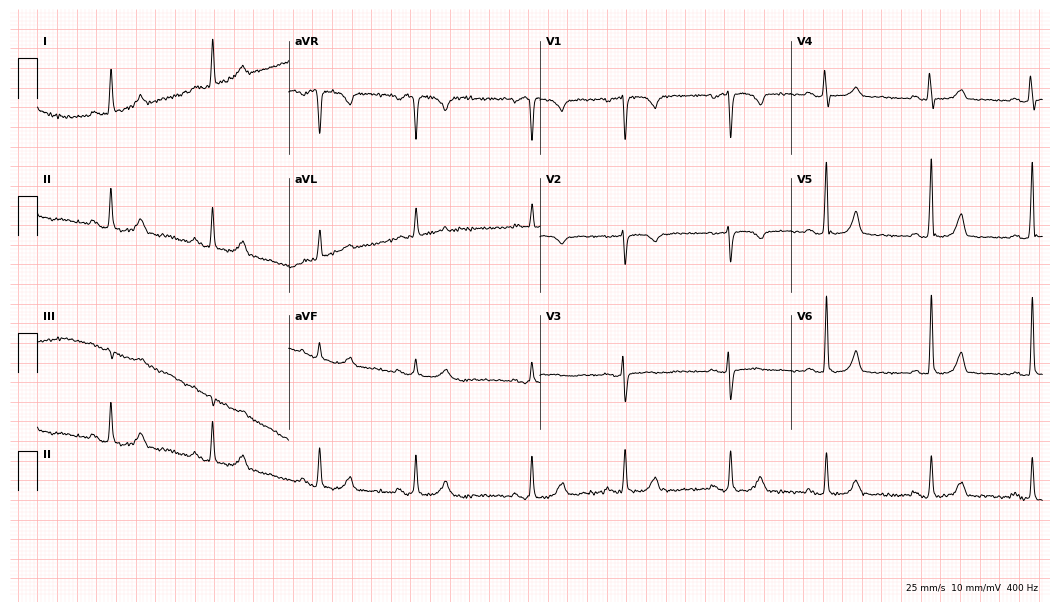
ECG (10.2-second recording at 400 Hz) — a 68-year-old female patient. Screened for six findings — first-degree AV block, right bundle branch block (RBBB), left bundle branch block (LBBB), sinus bradycardia, atrial fibrillation (AF), sinus tachycardia — none is recorded.